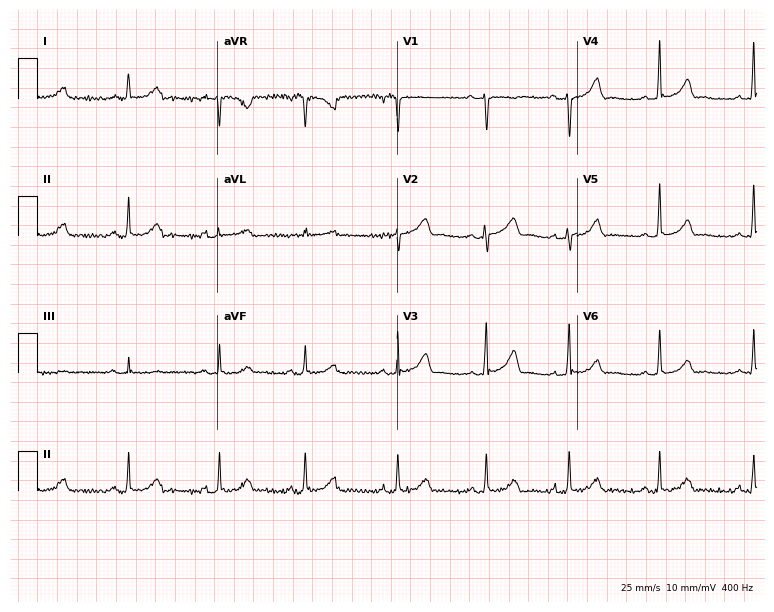
Electrocardiogram, a 35-year-old female patient. Overall reading on record: normal ECG.